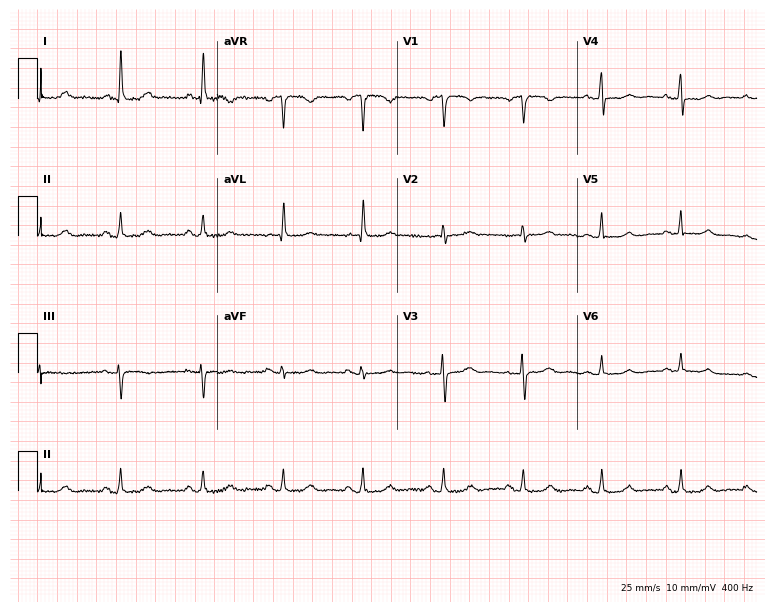
Electrocardiogram (7.3-second recording at 400 Hz), a 64-year-old female. Of the six screened findings (first-degree AV block, right bundle branch block, left bundle branch block, sinus bradycardia, atrial fibrillation, sinus tachycardia), none is recorded. Only these six findings were labelled.